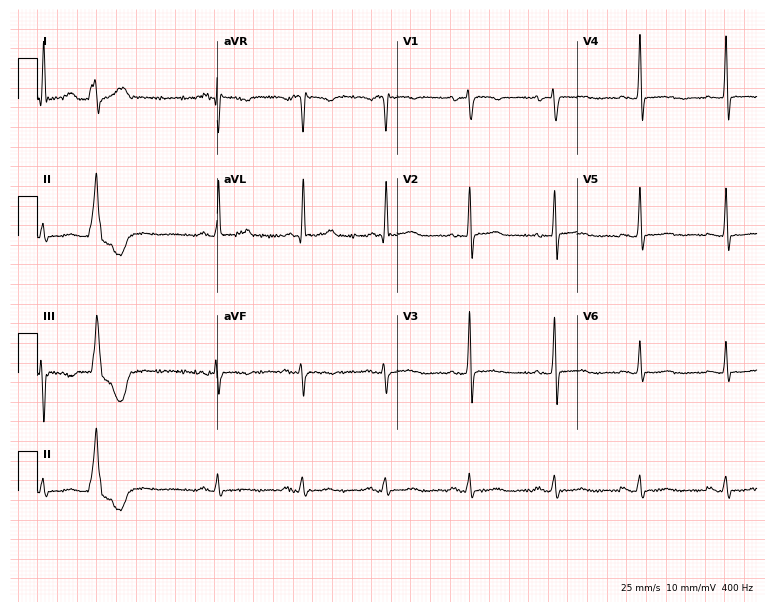
Standard 12-lead ECG recorded from an 80-year-old female patient. None of these six findings is recorded: first-degree AV block, right bundle branch block, left bundle branch block, sinus bradycardia, atrial fibrillation, sinus tachycardia. Only these six findings were labelled.